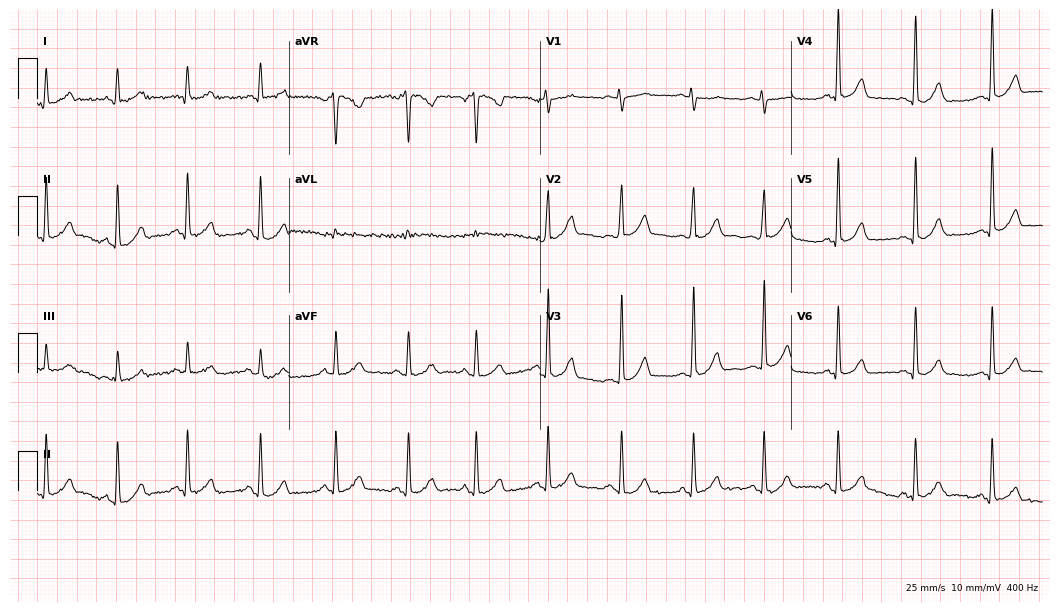
12-lead ECG from a 31-year-old female (10.2-second recording at 400 Hz). No first-degree AV block, right bundle branch block, left bundle branch block, sinus bradycardia, atrial fibrillation or sinus tachycardia recorded for this tracing. Only these six findings were labelled.